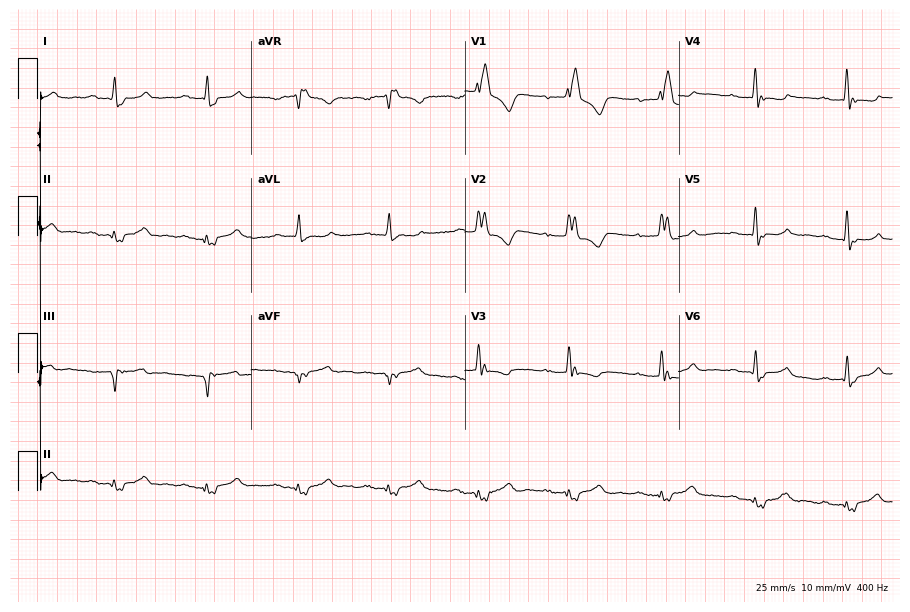
ECG (8.7-second recording at 400 Hz) — a female patient, 58 years old. Findings include right bundle branch block (RBBB).